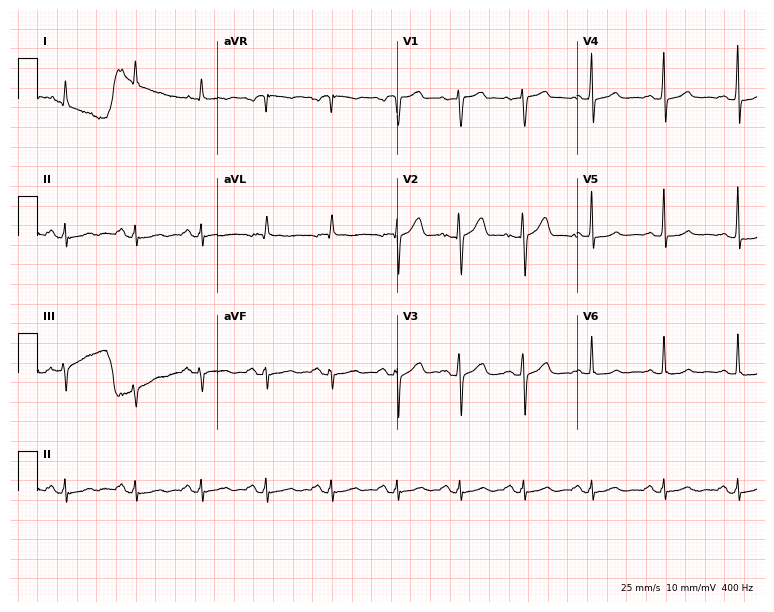
ECG — a 52-year-old female patient. Screened for six findings — first-degree AV block, right bundle branch block (RBBB), left bundle branch block (LBBB), sinus bradycardia, atrial fibrillation (AF), sinus tachycardia — none is recorded. Findings outside these six are not listed.